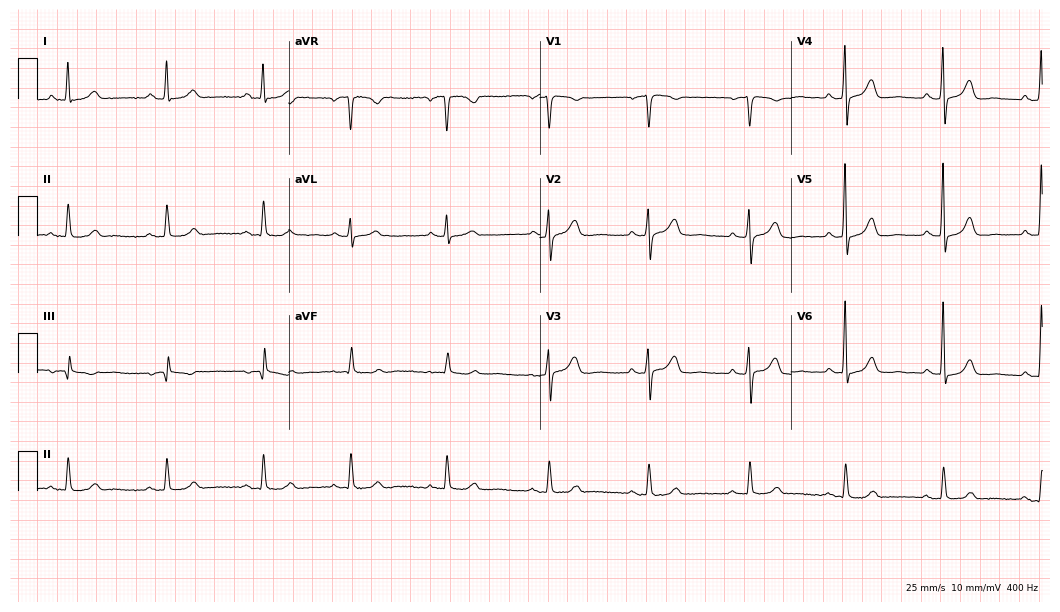
Standard 12-lead ECG recorded from a 61-year-old female (10.2-second recording at 400 Hz). Read as a normal ECG.